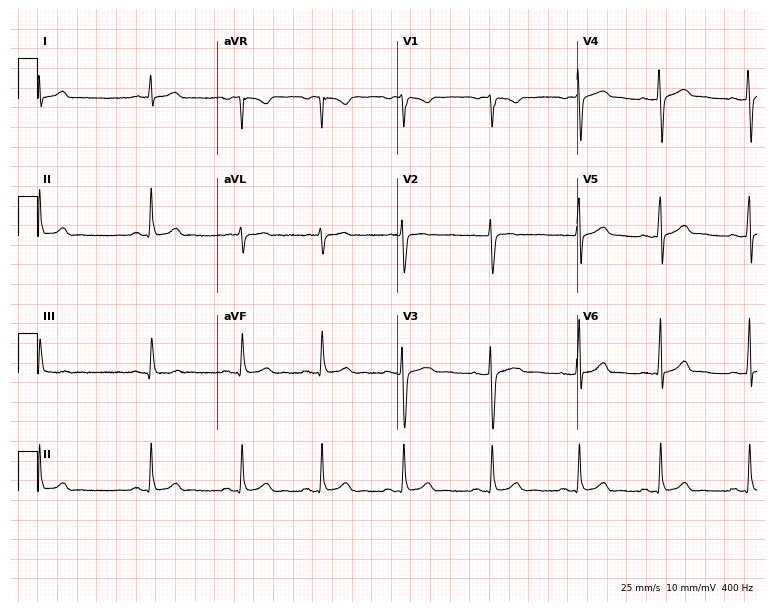
12-lead ECG from a 20-year-old female (7.3-second recording at 400 Hz). Recorded interpretation: within normal limits.